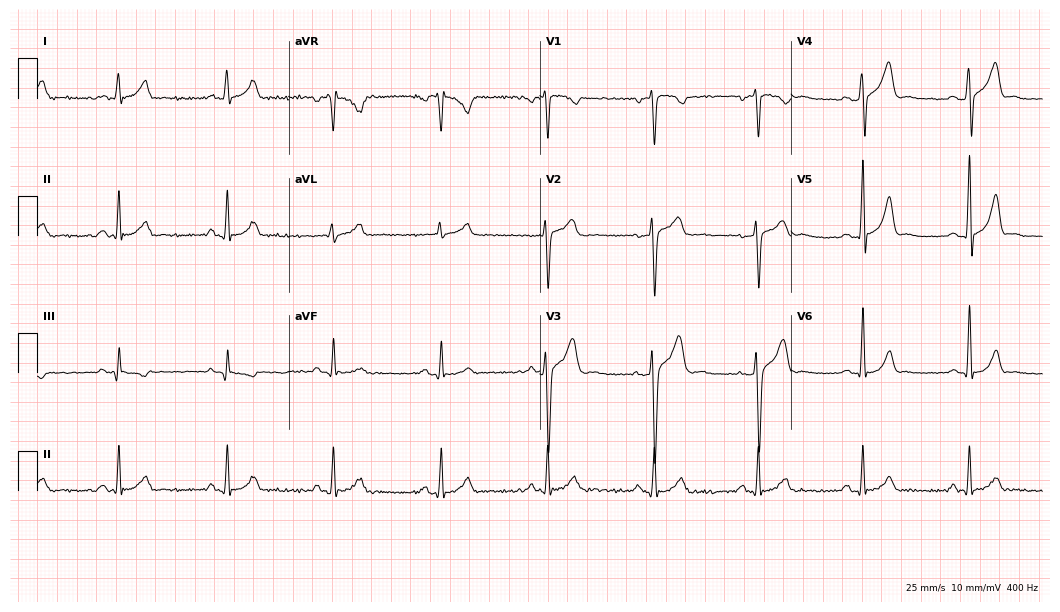
Electrocardiogram (10.2-second recording at 400 Hz), a 30-year-old male. Overall reading on record: normal ECG.